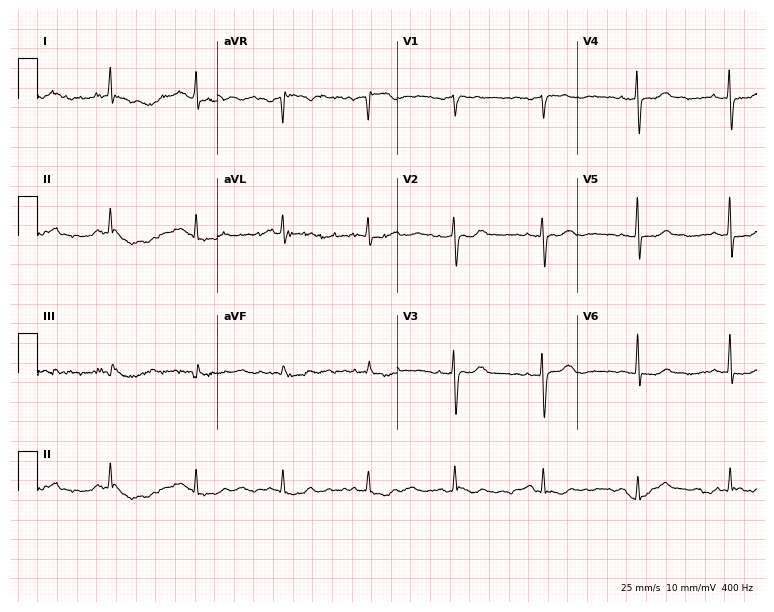
Standard 12-lead ECG recorded from a 65-year-old female patient (7.3-second recording at 400 Hz). None of these six findings is recorded: first-degree AV block, right bundle branch block, left bundle branch block, sinus bradycardia, atrial fibrillation, sinus tachycardia. Findings outside these six are not listed.